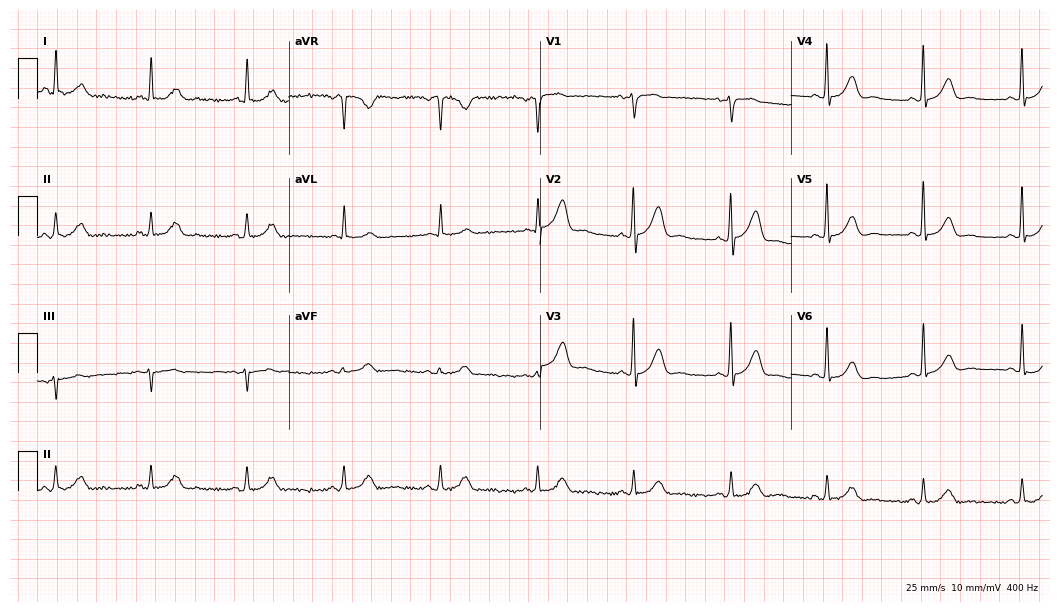
12-lead ECG from a male, 77 years old. No first-degree AV block, right bundle branch block (RBBB), left bundle branch block (LBBB), sinus bradycardia, atrial fibrillation (AF) or sinus tachycardia recorded for this tracing.